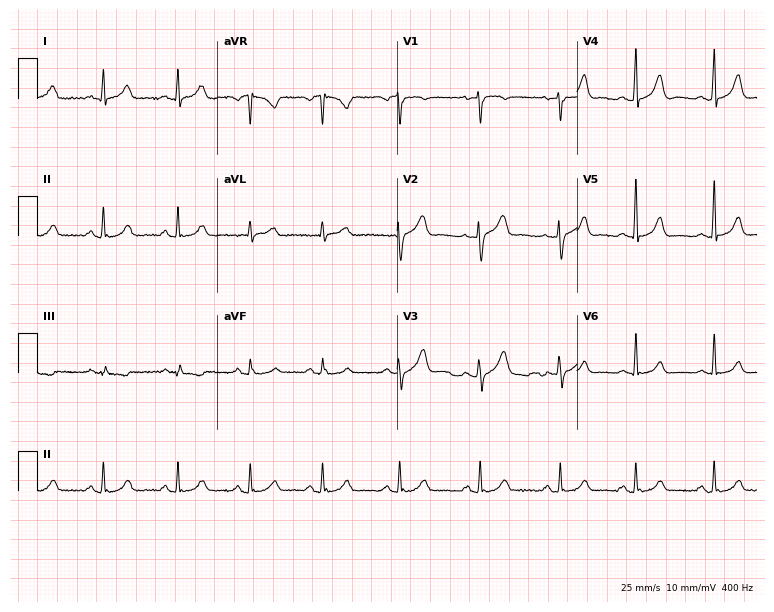
12-lead ECG from a 30-year-old female. Recorded interpretation: within normal limits.